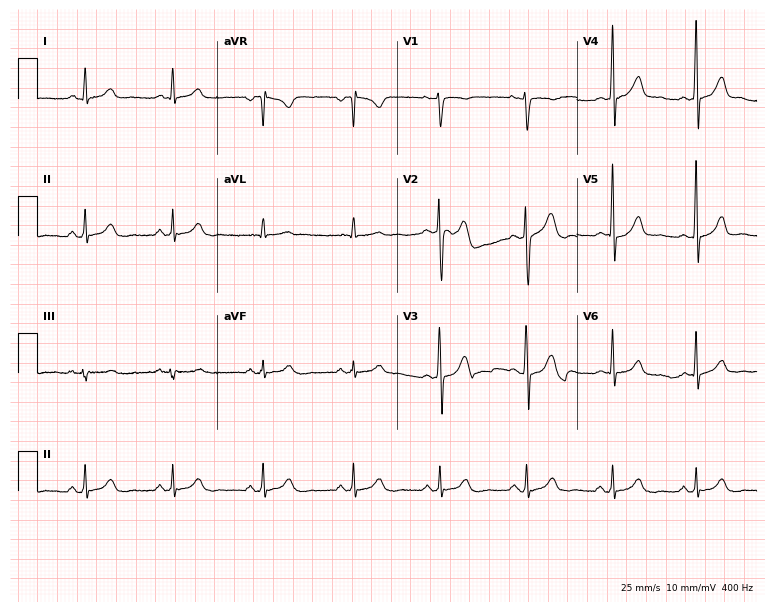
12-lead ECG from a female patient, 38 years old (7.3-second recording at 400 Hz). No first-degree AV block, right bundle branch block, left bundle branch block, sinus bradycardia, atrial fibrillation or sinus tachycardia recorded for this tracing. Only these six findings were labelled.